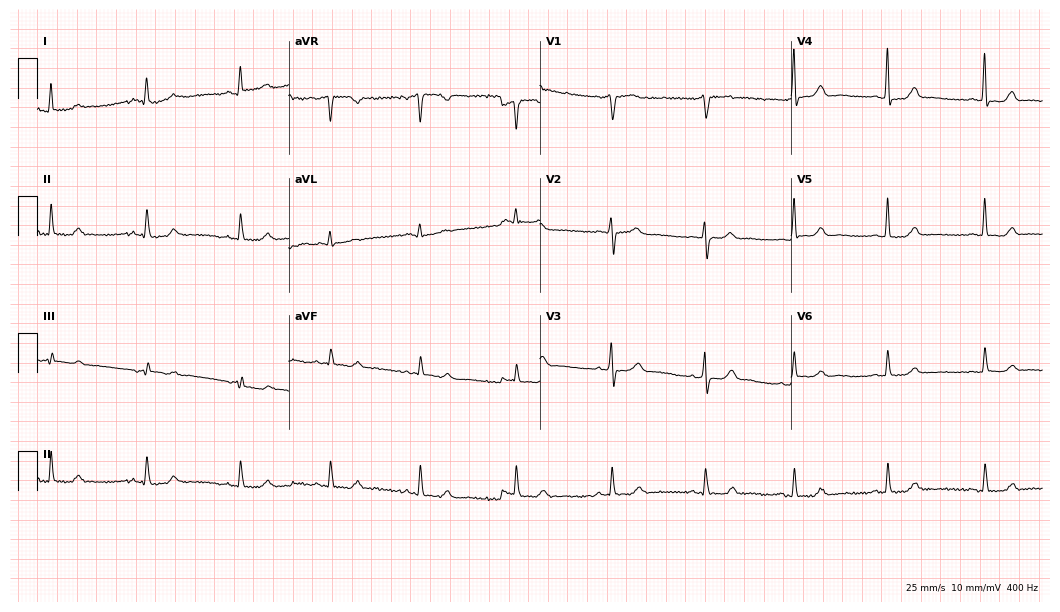
Resting 12-lead electrocardiogram. Patient: a female, 59 years old. Read as a normal ECG.